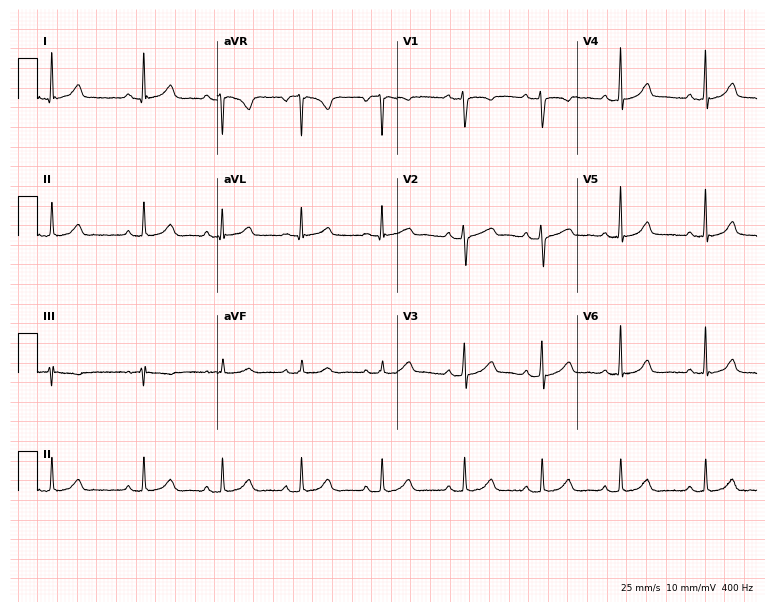
Electrocardiogram, a 32-year-old female patient. Overall reading on record: normal ECG.